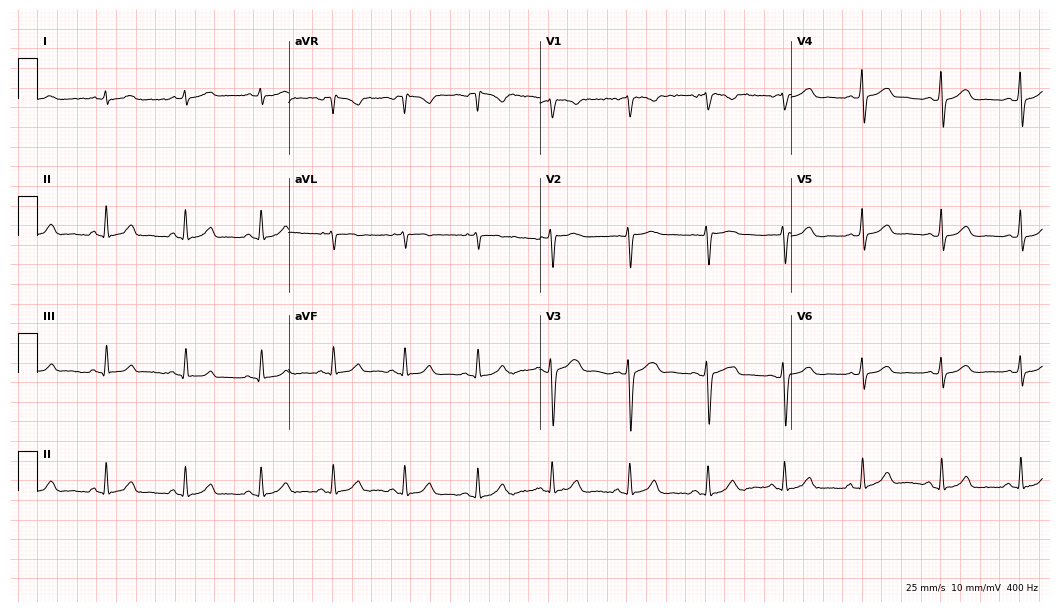
ECG — a female patient, 45 years old. Labelled as a normal ECG.